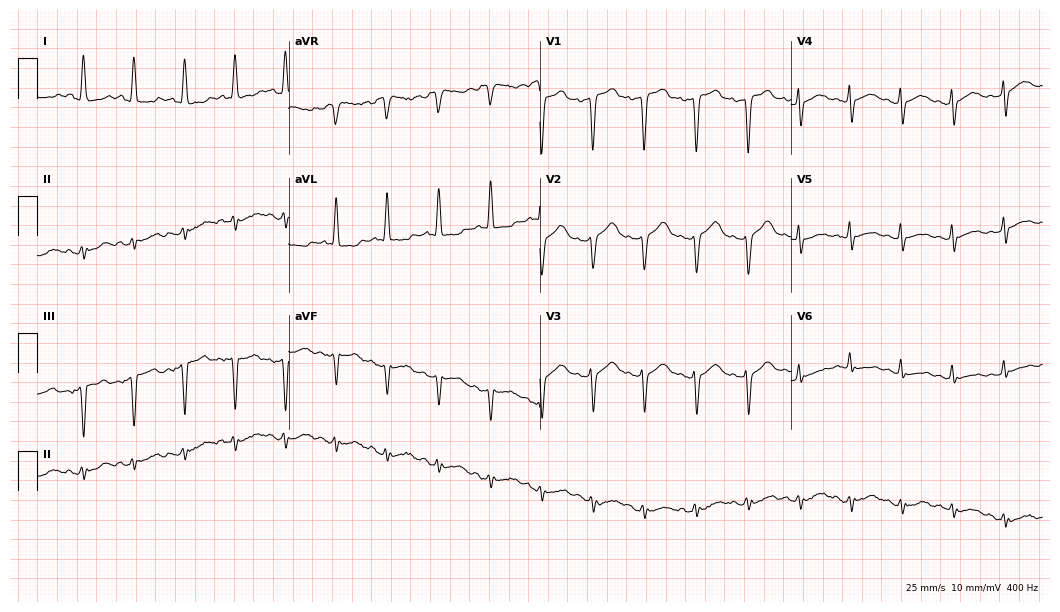
12-lead ECG from a 57-year-old female patient. Findings include sinus tachycardia (a sinus rate of 100 beats per minute or more).